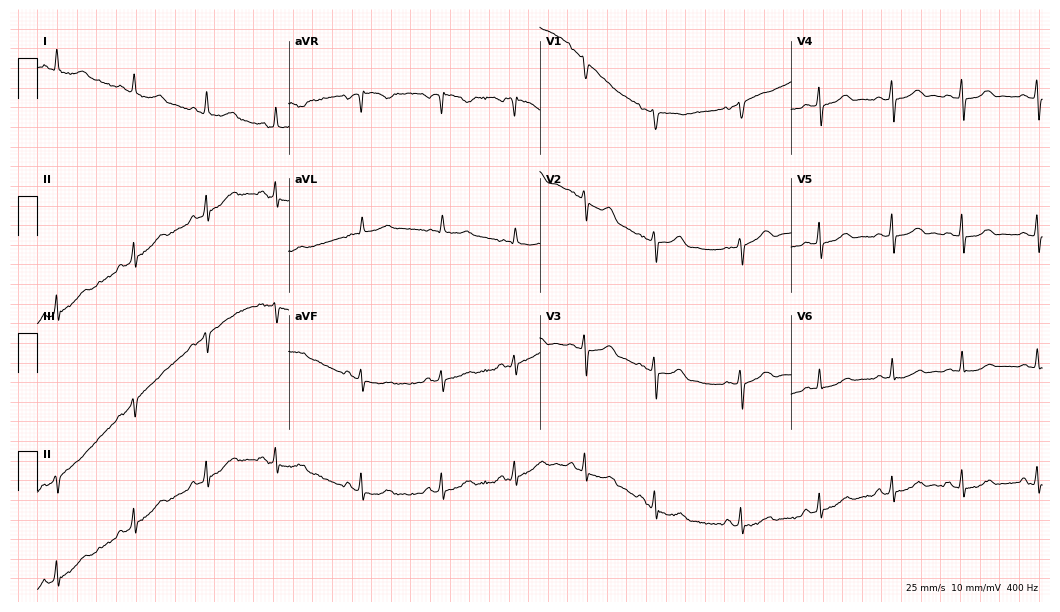
Electrocardiogram (10.2-second recording at 400 Hz), a female patient, 63 years old. Overall reading on record: normal ECG.